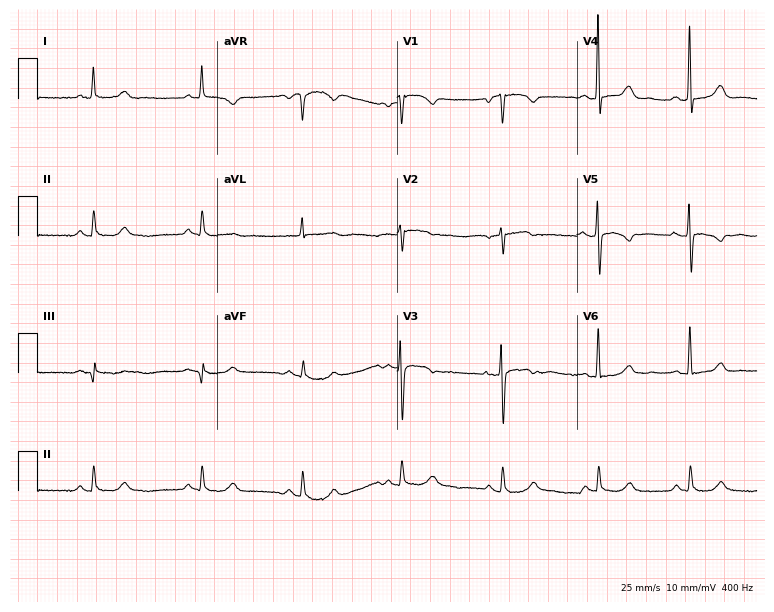
Standard 12-lead ECG recorded from a female patient, 71 years old. None of these six findings is recorded: first-degree AV block, right bundle branch block, left bundle branch block, sinus bradycardia, atrial fibrillation, sinus tachycardia.